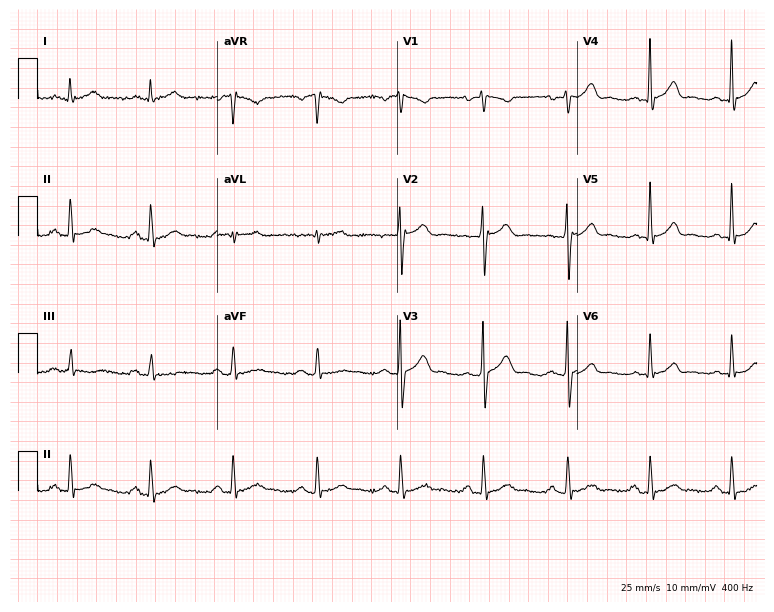
Standard 12-lead ECG recorded from a male, 36 years old (7.3-second recording at 400 Hz). Read as a normal ECG.